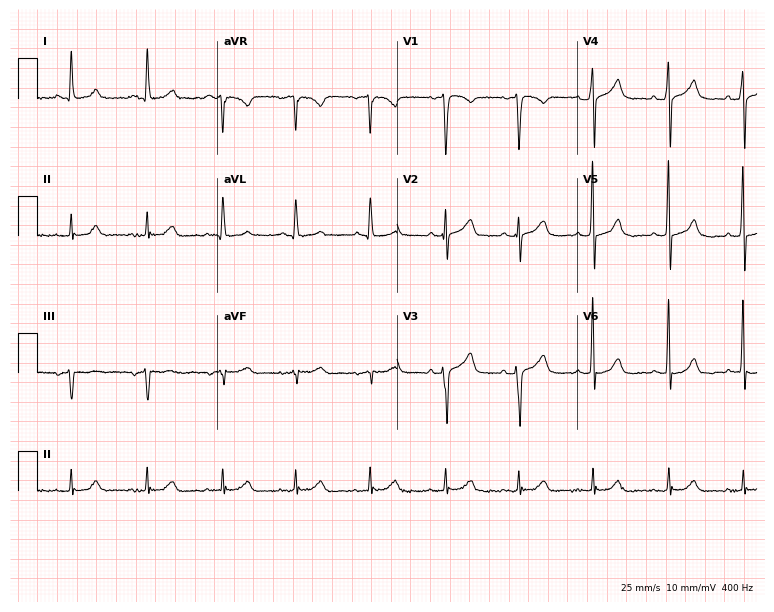
Standard 12-lead ECG recorded from a female patient, 53 years old. None of these six findings is recorded: first-degree AV block, right bundle branch block, left bundle branch block, sinus bradycardia, atrial fibrillation, sinus tachycardia. Only these six findings were labelled.